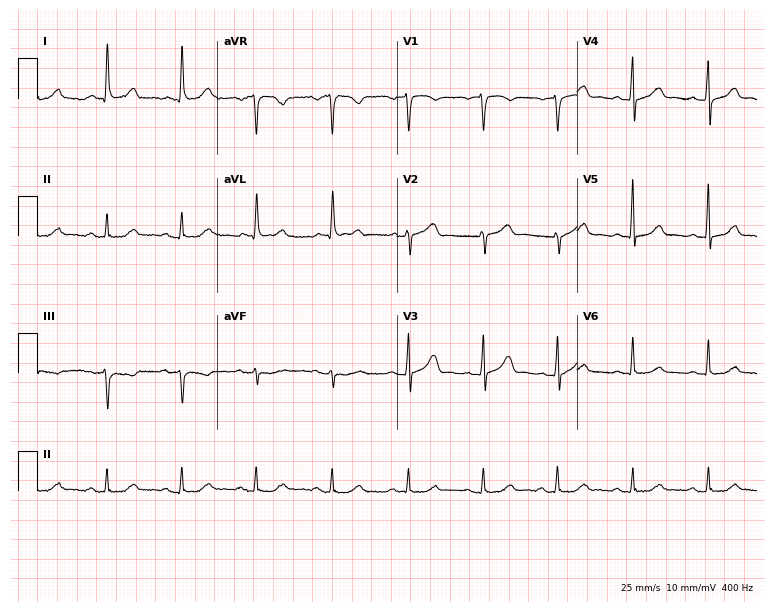
ECG (7.3-second recording at 400 Hz) — a female, 65 years old. Labelled as a normal ECG.